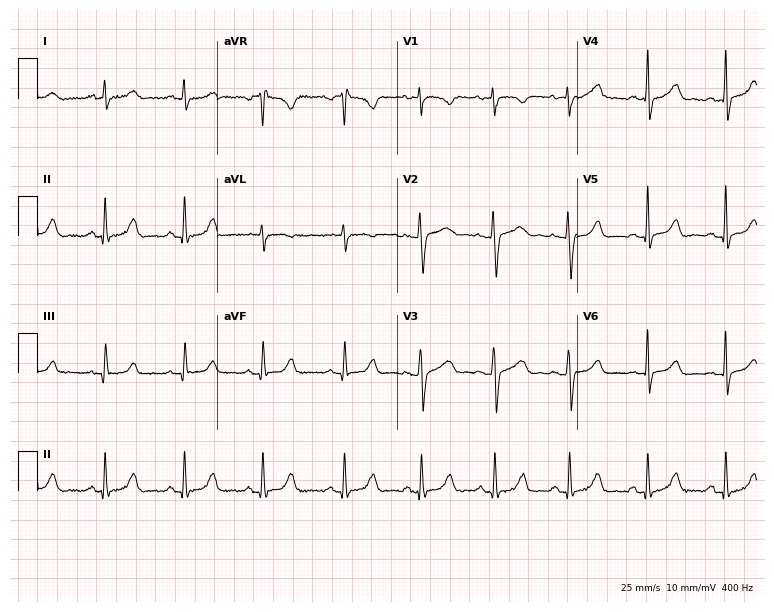
Standard 12-lead ECG recorded from a female, 29 years old. Read as a normal ECG.